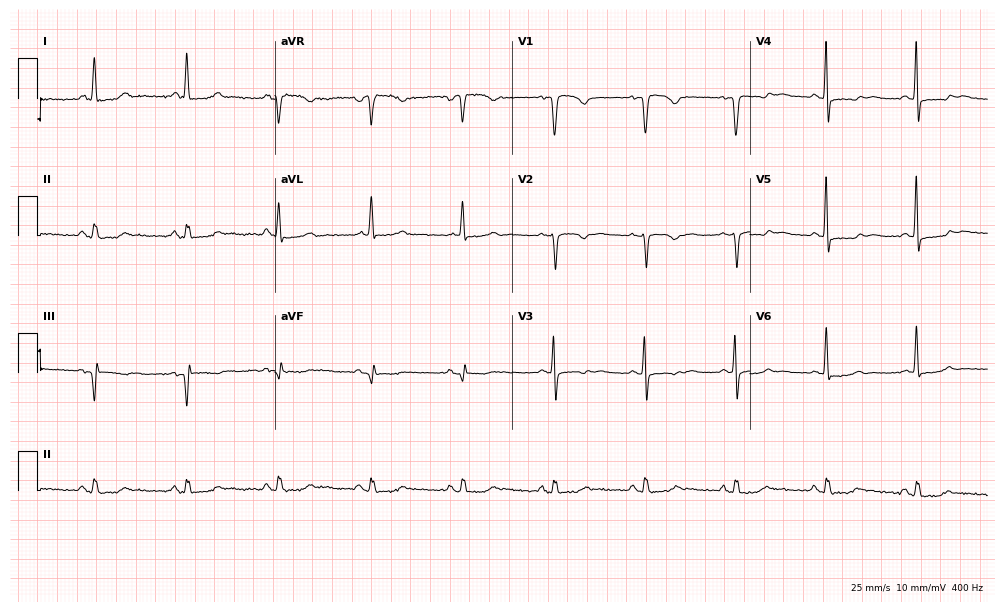
Electrocardiogram (9.7-second recording at 400 Hz), a 72-year-old female patient. Of the six screened findings (first-degree AV block, right bundle branch block (RBBB), left bundle branch block (LBBB), sinus bradycardia, atrial fibrillation (AF), sinus tachycardia), none is recorded.